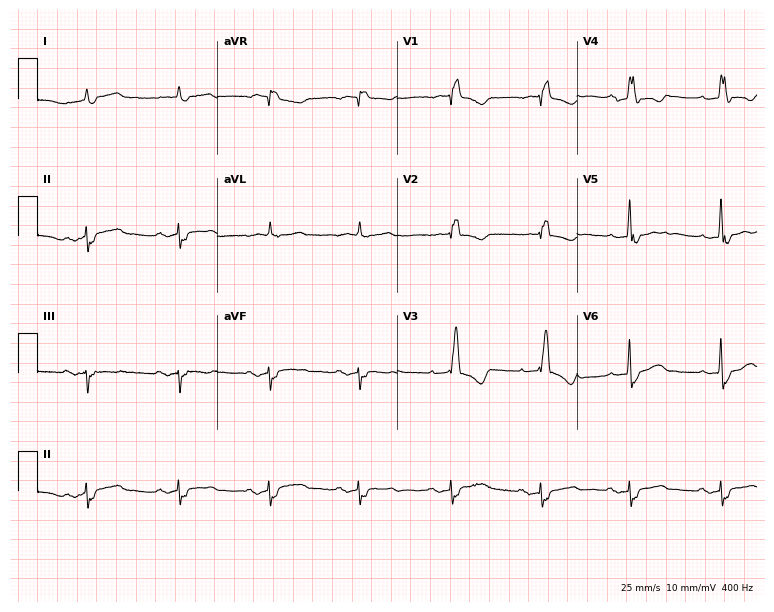
ECG — a female, 84 years old. Findings include right bundle branch block (RBBB).